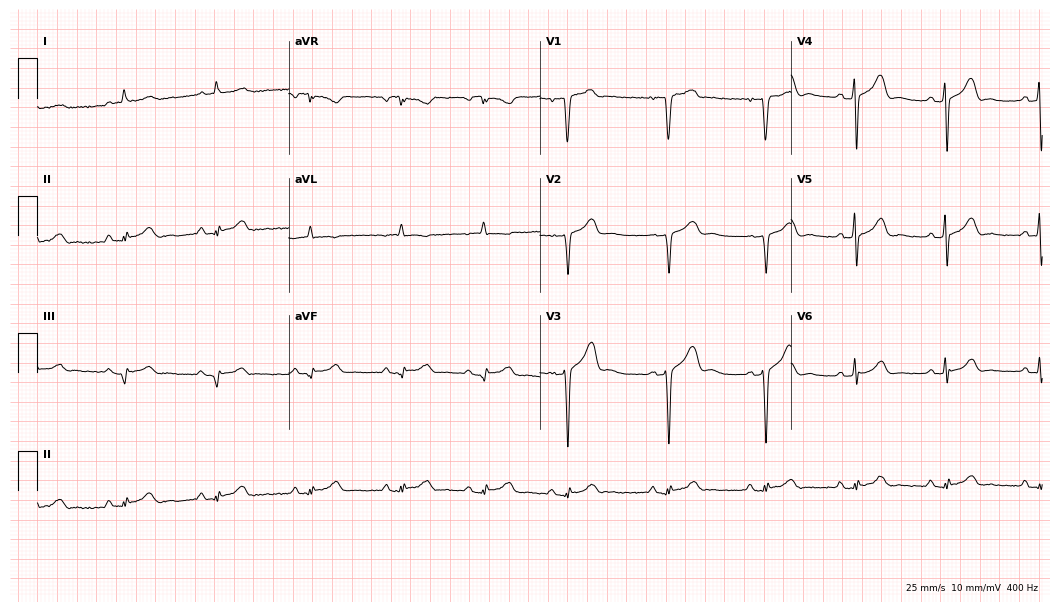
Standard 12-lead ECG recorded from a 58-year-old male patient (10.2-second recording at 400 Hz). None of these six findings is recorded: first-degree AV block, right bundle branch block (RBBB), left bundle branch block (LBBB), sinus bradycardia, atrial fibrillation (AF), sinus tachycardia. Only these six findings were labelled.